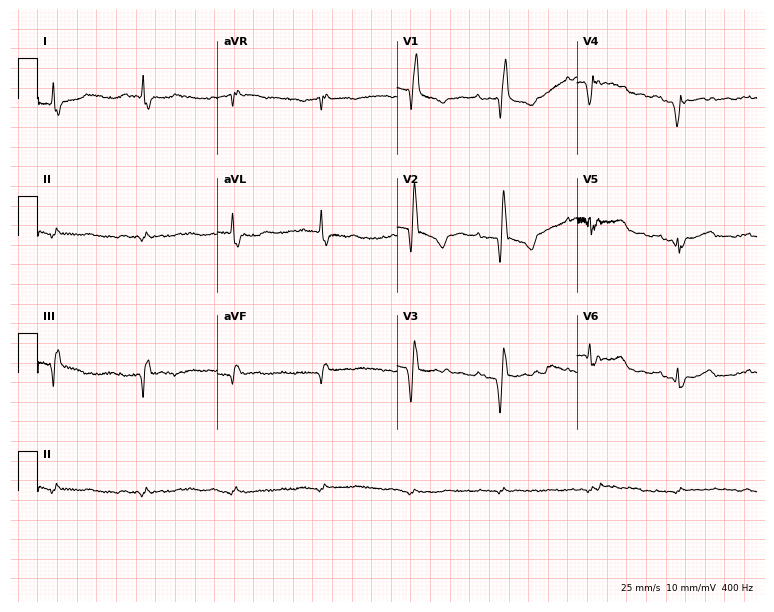
12-lead ECG from a male, 74 years old (7.3-second recording at 400 Hz). No first-degree AV block, right bundle branch block, left bundle branch block, sinus bradycardia, atrial fibrillation or sinus tachycardia recorded for this tracing.